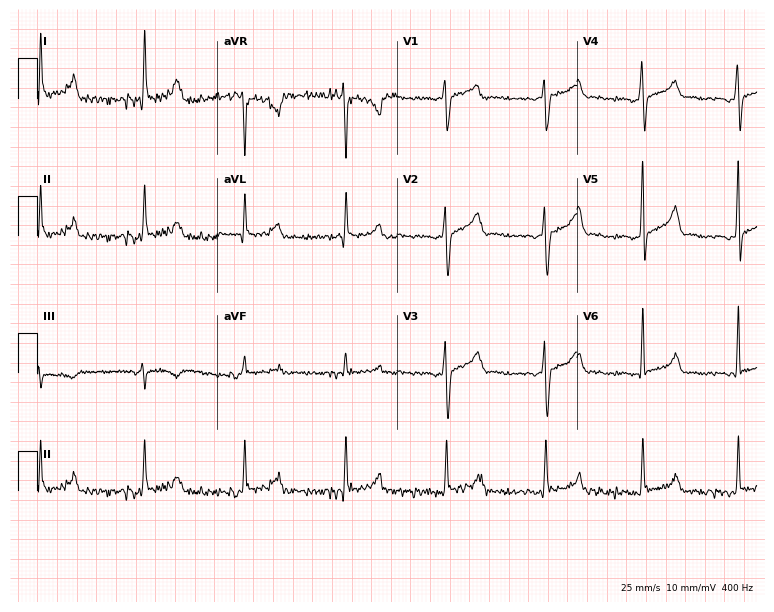
Standard 12-lead ECG recorded from a 37-year-old female patient (7.3-second recording at 400 Hz). None of these six findings is recorded: first-degree AV block, right bundle branch block (RBBB), left bundle branch block (LBBB), sinus bradycardia, atrial fibrillation (AF), sinus tachycardia. Only these six findings were labelled.